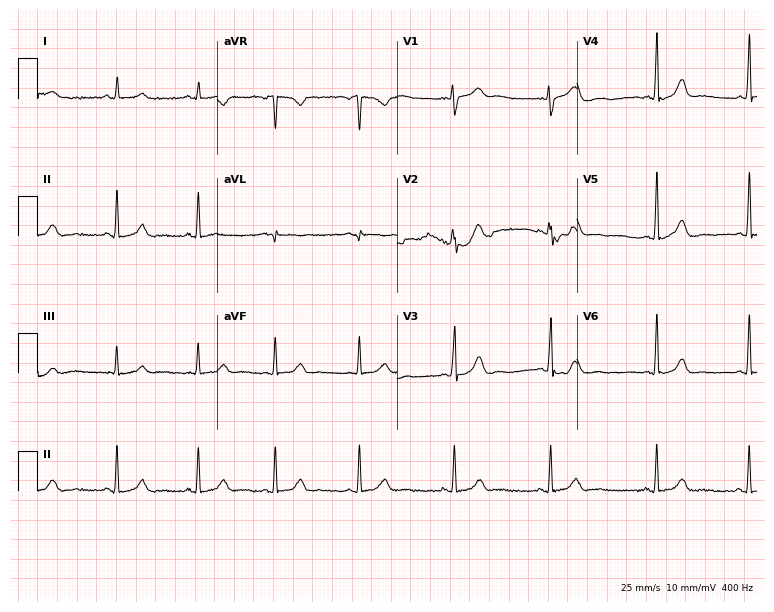
ECG (7.3-second recording at 400 Hz) — a female, 35 years old. Labelled as a normal ECG.